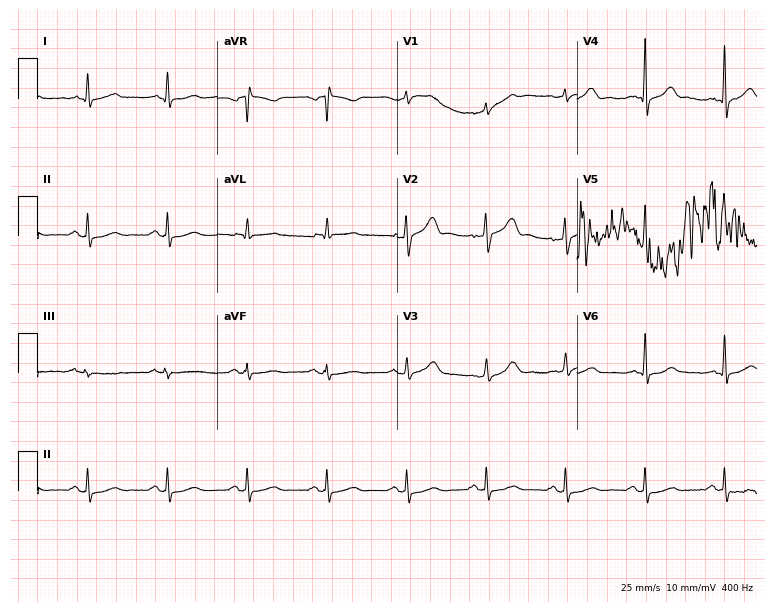
12-lead ECG from a male patient, 63 years old. No first-degree AV block, right bundle branch block, left bundle branch block, sinus bradycardia, atrial fibrillation or sinus tachycardia recorded for this tracing. Only these six findings were labelled.